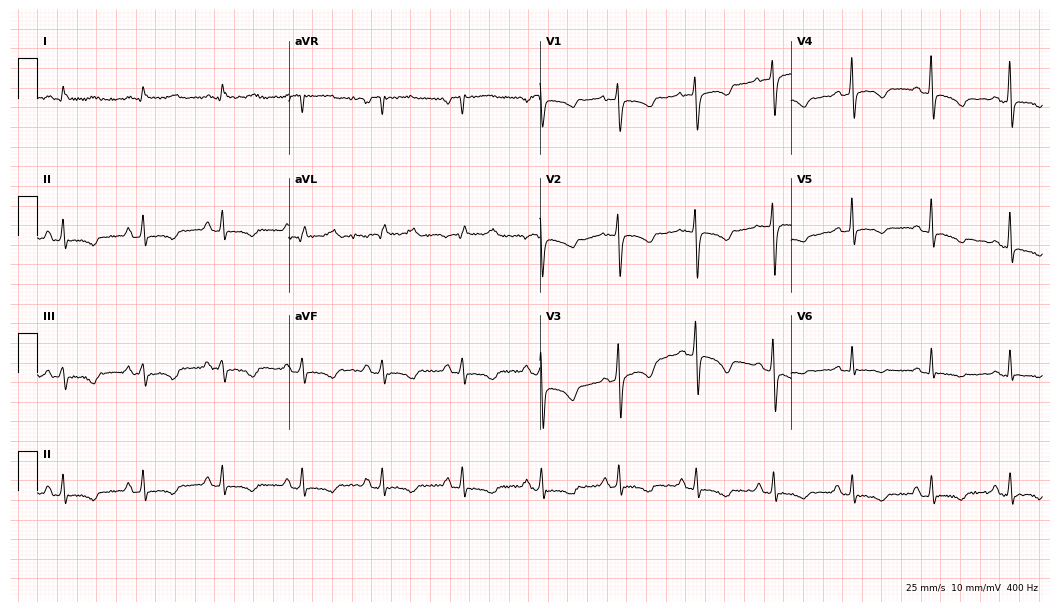
Resting 12-lead electrocardiogram (10.2-second recording at 400 Hz). Patient: a female, 85 years old. None of these six findings is recorded: first-degree AV block, right bundle branch block, left bundle branch block, sinus bradycardia, atrial fibrillation, sinus tachycardia. Only these six findings were labelled.